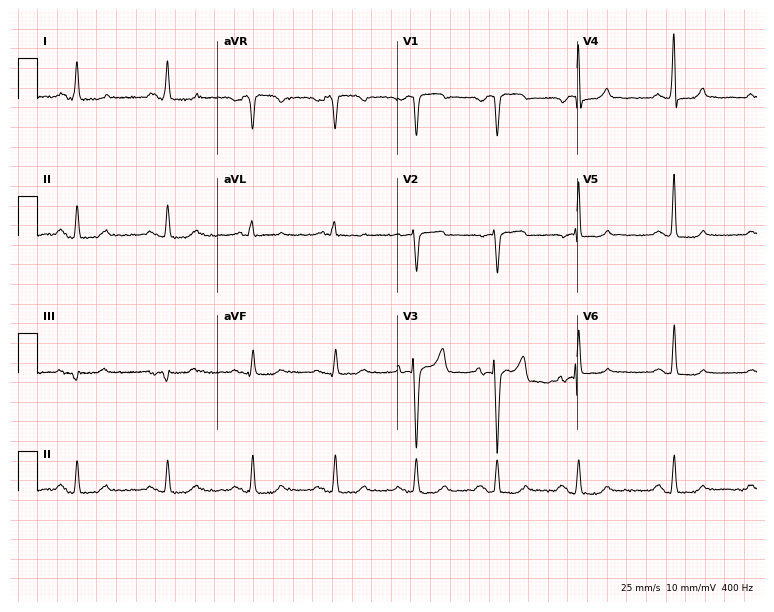
ECG — a female, 79 years old. Screened for six findings — first-degree AV block, right bundle branch block, left bundle branch block, sinus bradycardia, atrial fibrillation, sinus tachycardia — none is recorded. Only these six findings were labelled.